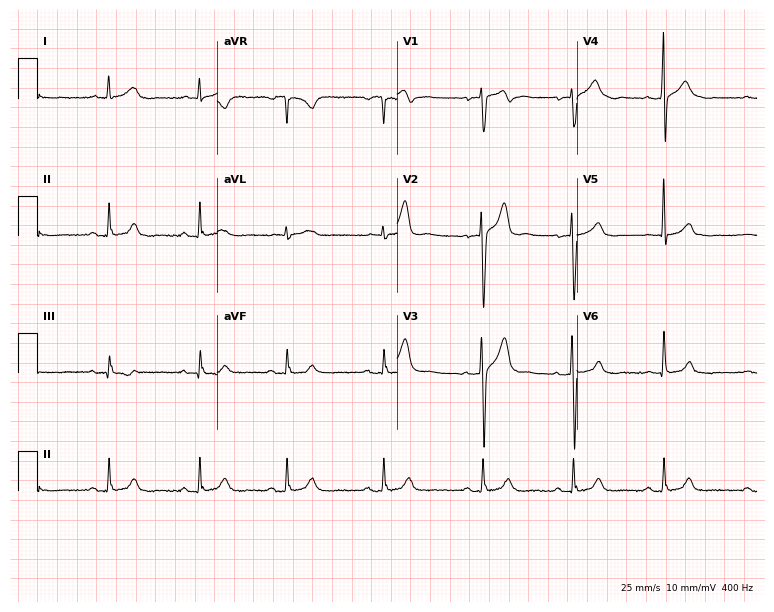
Resting 12-lead electrocardiogram. Patient: a 32-year-old male. Read as a normal ECG.